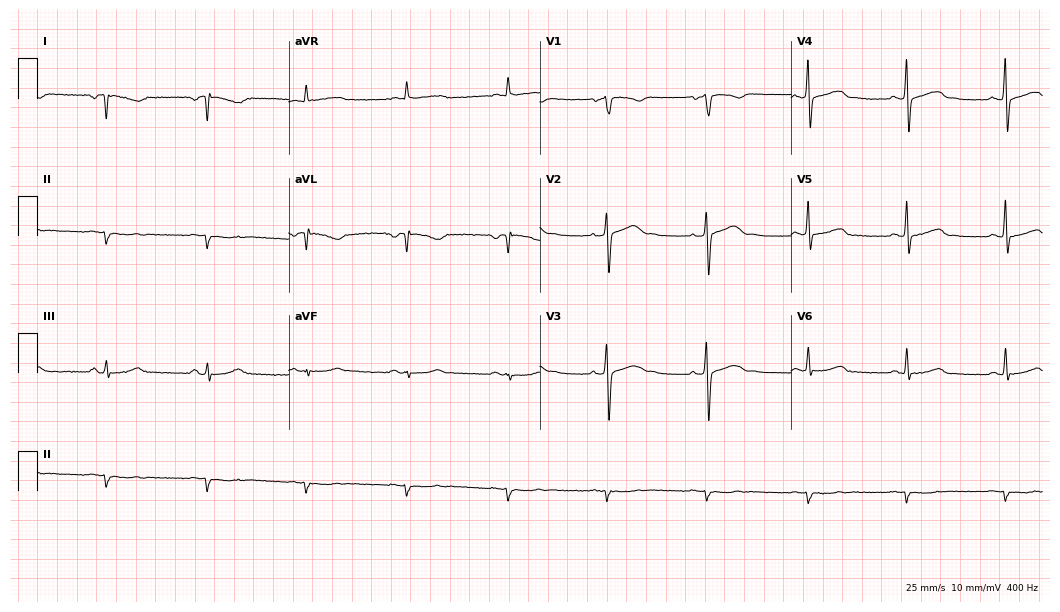
ECG (10.2-second recording at 400 Hz) — a male patient, 64 years old. Labelled as a normal ECG.